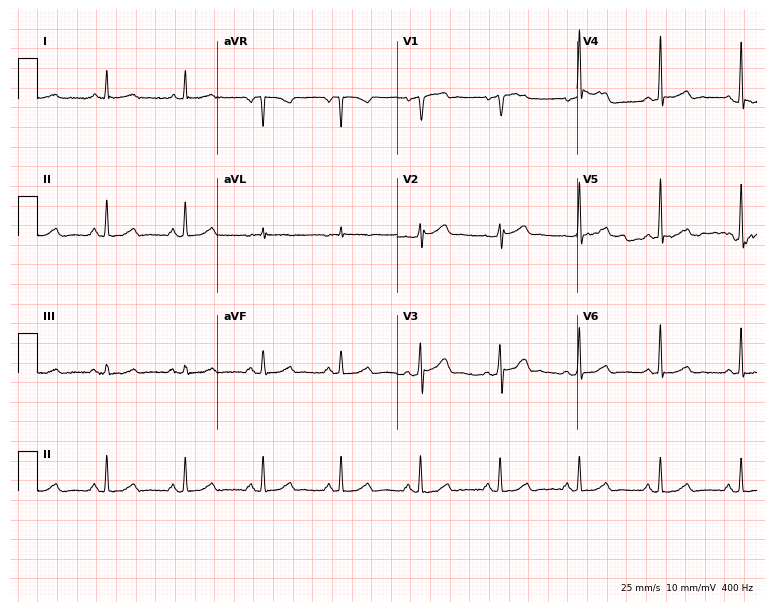
Electrocardiogram, a man, 75 years old. Overall reading on record: normal ECG.